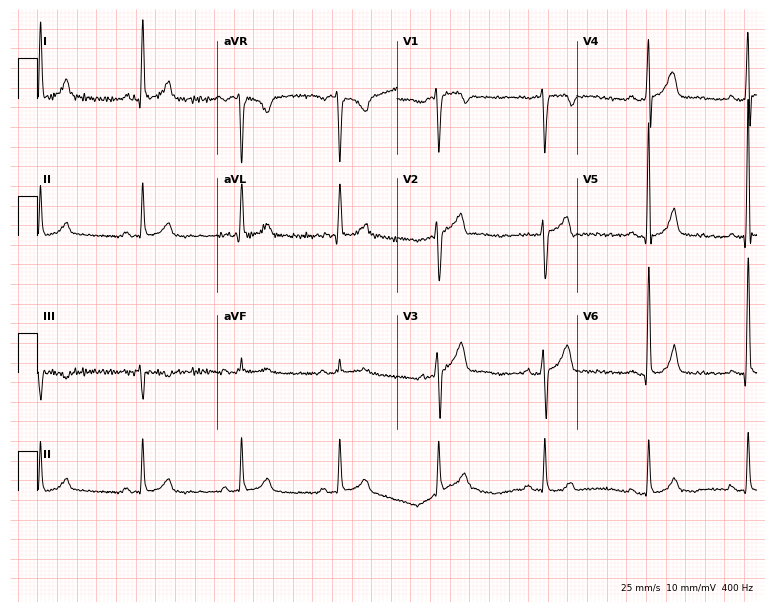
12-lead ECG from a male, 48 years old. Recorded interpretation: within normal limits.